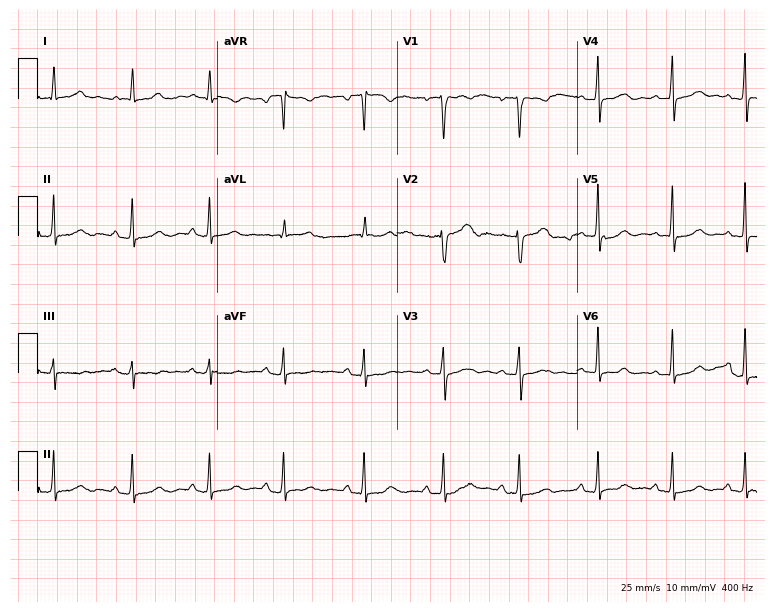
Resting 12-lead electrocardiogram. Patient: a 51-year-old female. Read as a normal ECG.